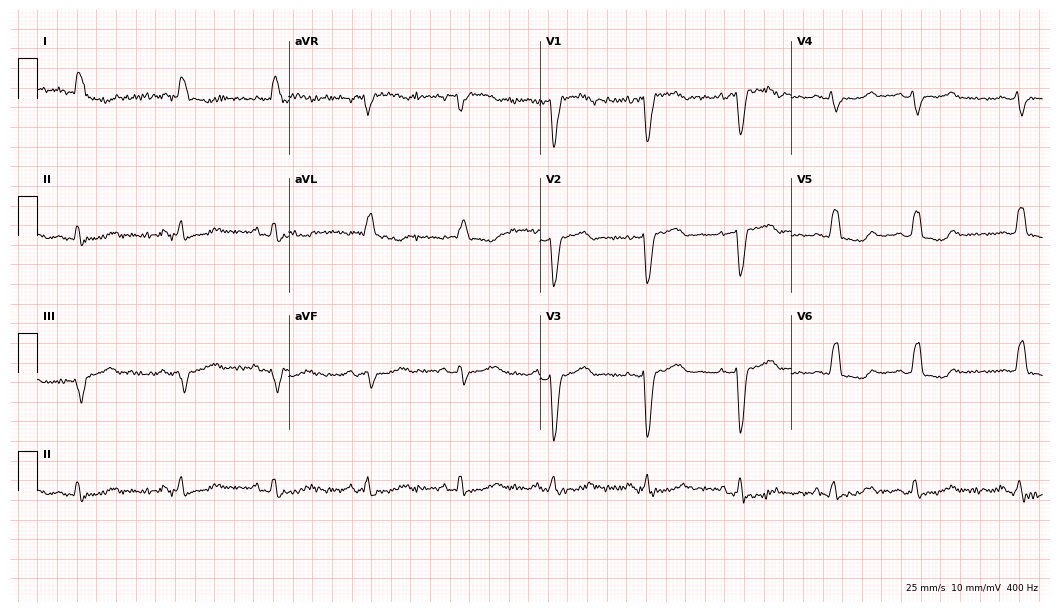
Electrocardiogram (10.2-second recording at 400 Hz), a 73-year-old female patient. Interpretation includes left bundle branch block (LBBB).